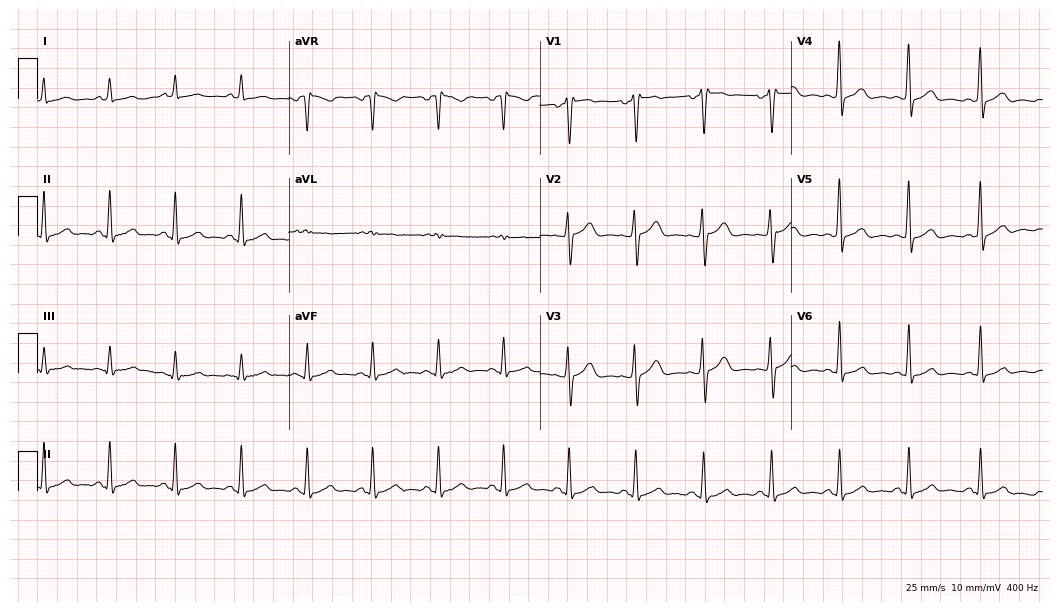
12-lead ECG from a 49-year-old male (10.2-second recording at 400 Hz). No first-degree AV block, right bundle branch block (RBBB), left bundle branch block (LBBB), sinus bradycardia, atrial fibrillation (AF) or sinus tachycardia recorded for this tracing.